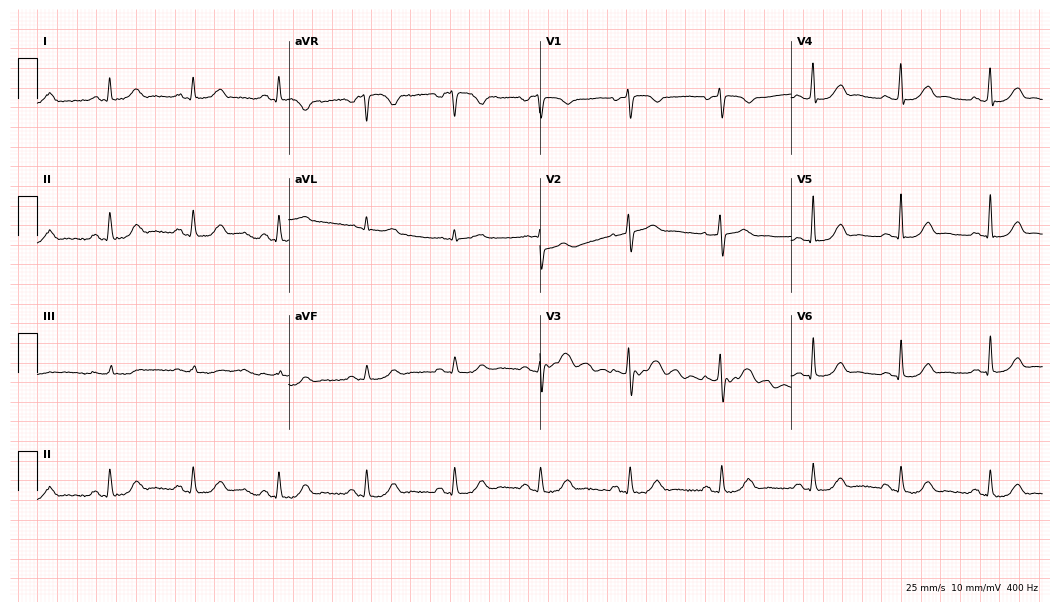
Resting 12-lead electrocardiogram (10.2-second recording at 400 Hz). Patient: a female, 42 years old. Read as a normal ECG.